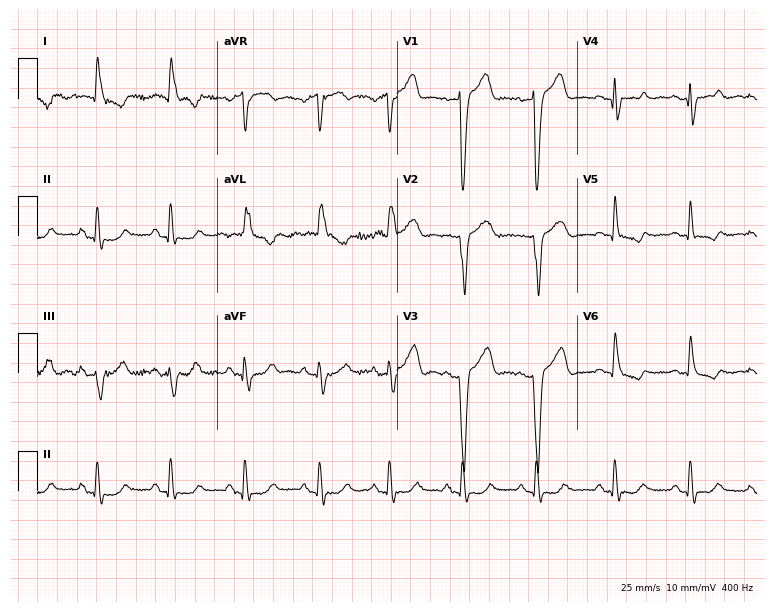
Electrocardiogram, a woman, 83 years old. Interpretation includes left bundle branch block.